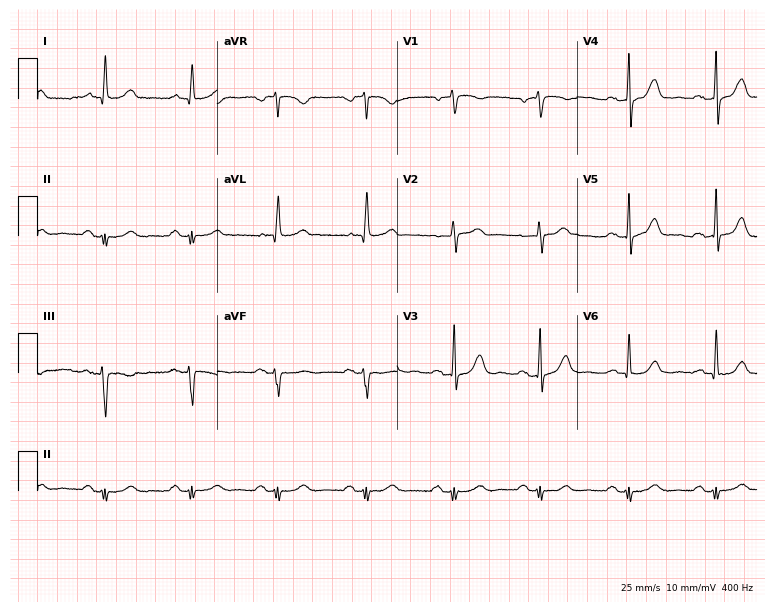
Standard 12-lead ECG recorded from a male, 64 years old (7.3-second recording at 400 Hz). None of these six findings is recorded: first-degree AV block, right bundle branch block, left bundle branch block, sinus bradycardia, atrial fibrillation, sinus tachycardia.